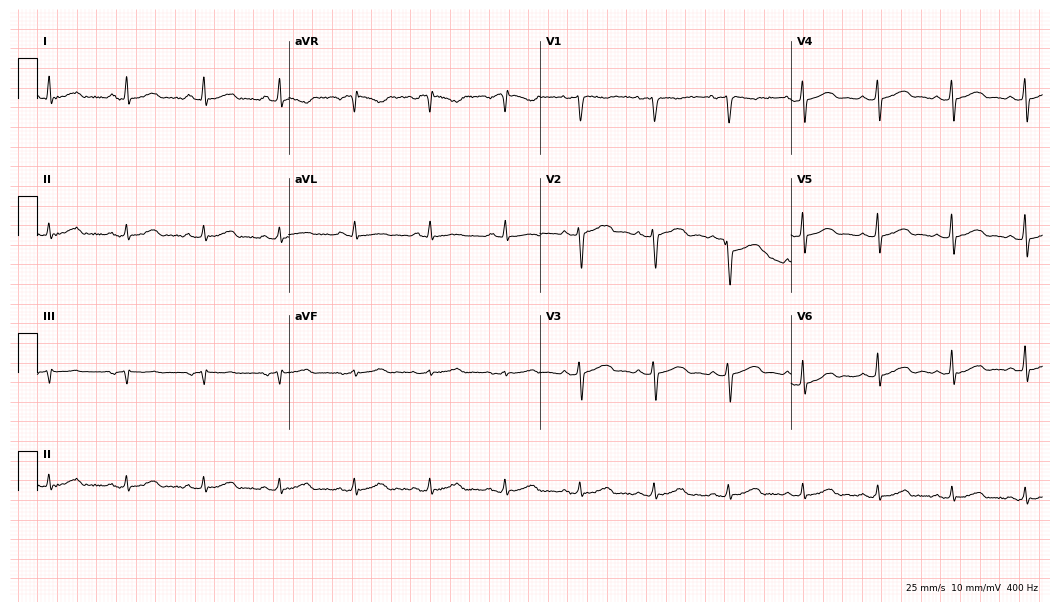
12-lead ECG from a 41-year-old woman (10.2-second recording at 400 Hz). Recorded interpretation: within normal limits.